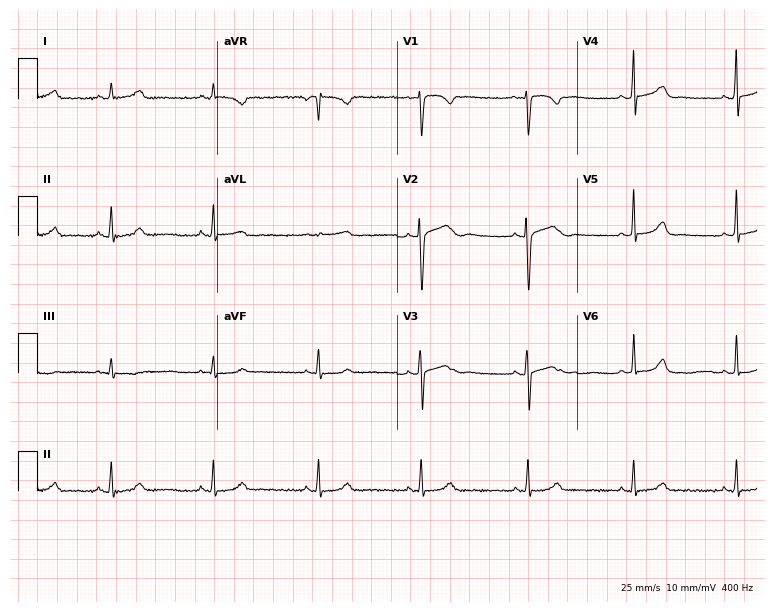
Standard 12-lead ECG recorded from a 29-year-old female patient (7.3-second recording at 400 Hz). Read as a normal ECG.